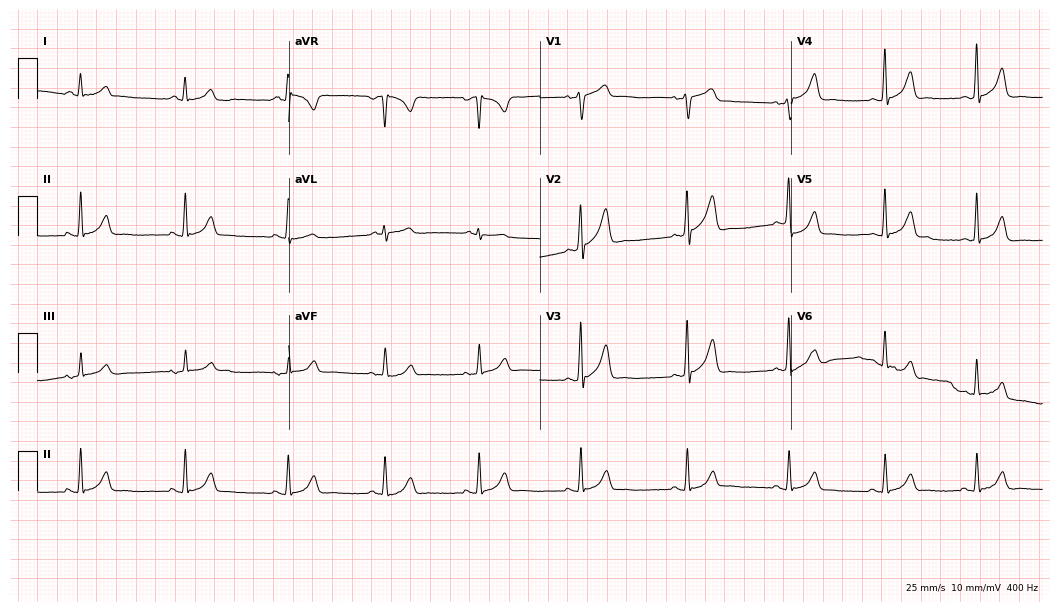
Electrocardiogram (10.2-second recording at 400 Hz), a male, 52 years old. Overall reading on record: normal ECG.